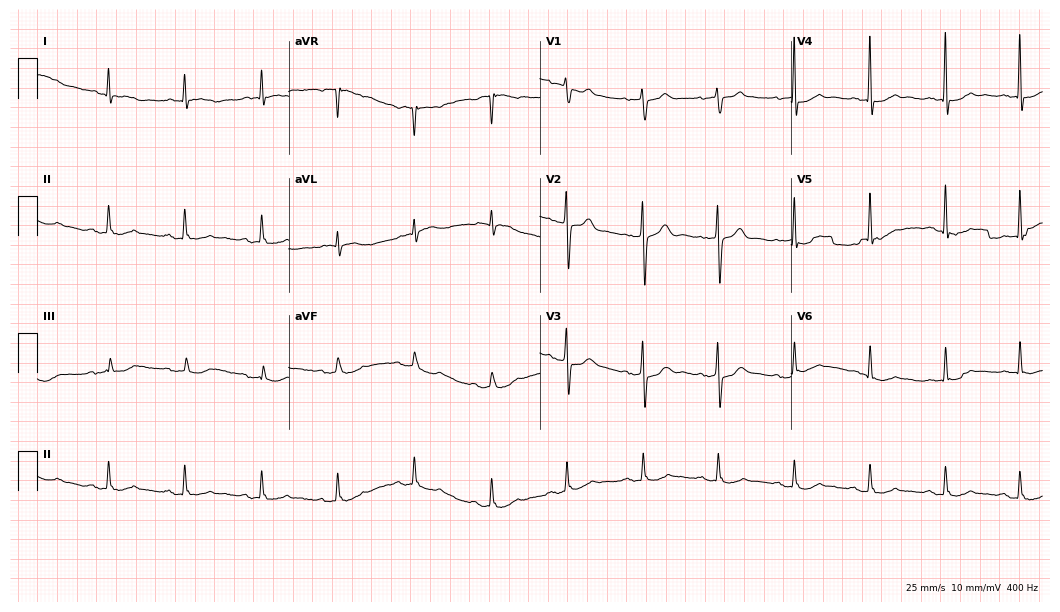
Standard 12-lead ECG recorded from a woman, 82 years old. Read as a normal ECG.